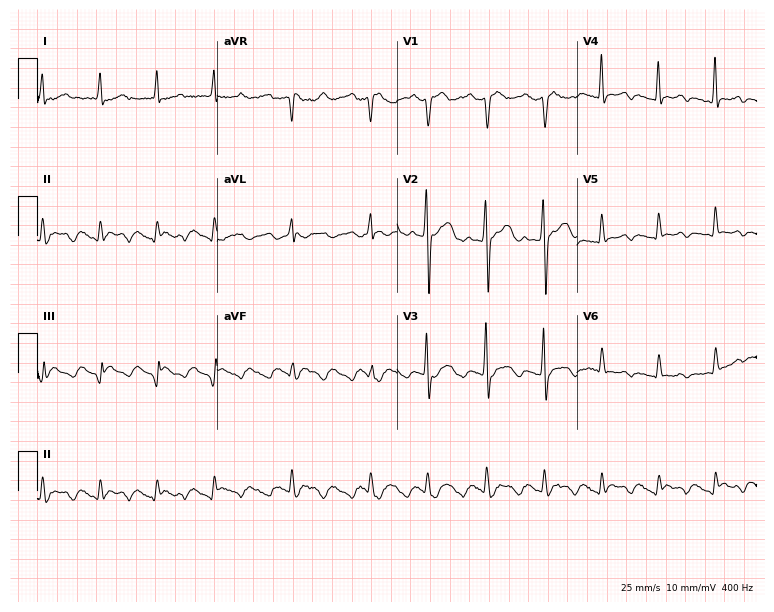
Resting 12-lead electrocardiogram. Patient: a man, 67 years old. None of these six findings is recorded: first-degree AV block, right bundle branch block (RBBB), left bundle branch block (LBBB), sinus bradycardia, atrial fibrillation (AF), sinus tachycardia. Only these six findings were labelled.